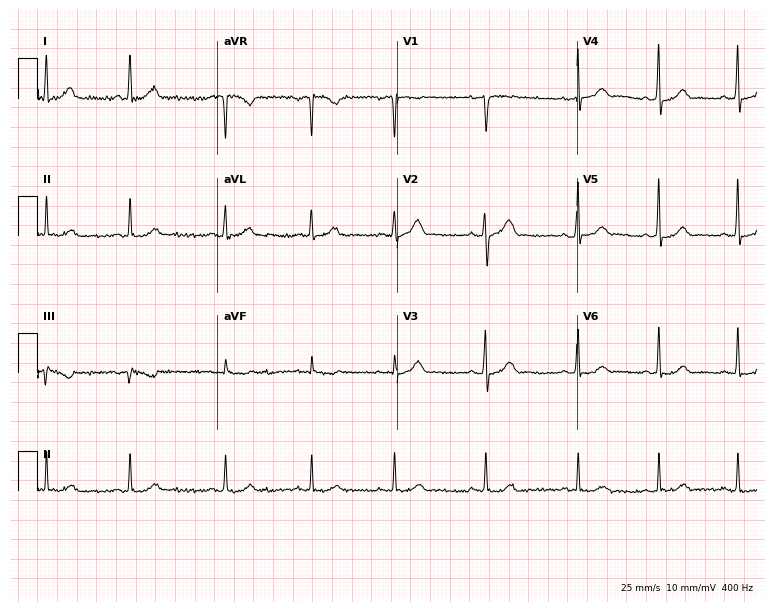
12-lead ECG from a woman, 35 years old. Screened for six findings — first-degree AV block, right bundle branch block (RBBB), left bundle branch block (LBBB), sinus bradycardia, atrial fibrillation (AF), sinus tachycardia — none is recorded. Findings outside these six are not listed.